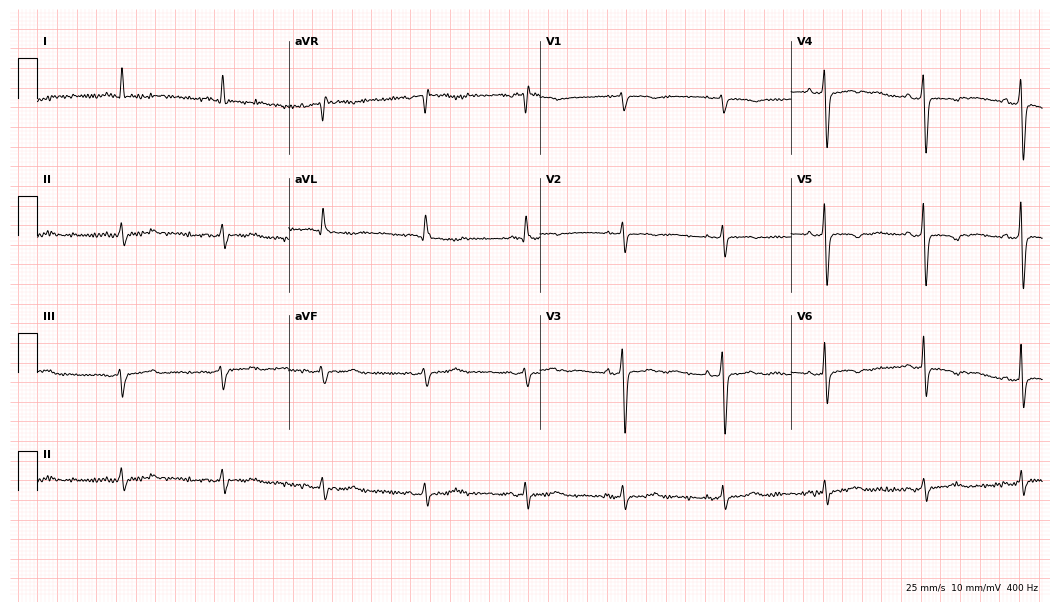
ECG (10.2-second recording at 400 Hz) — an 82-year-old woman. Screened for six findings — first-degree AV block, right bundle branch block (RBBB), left bundle branch block (LBBB), sinus bradycardia, atrial fibrillation (AF), sinus tachycardia — none is recorded. Only these six findings were labelled.